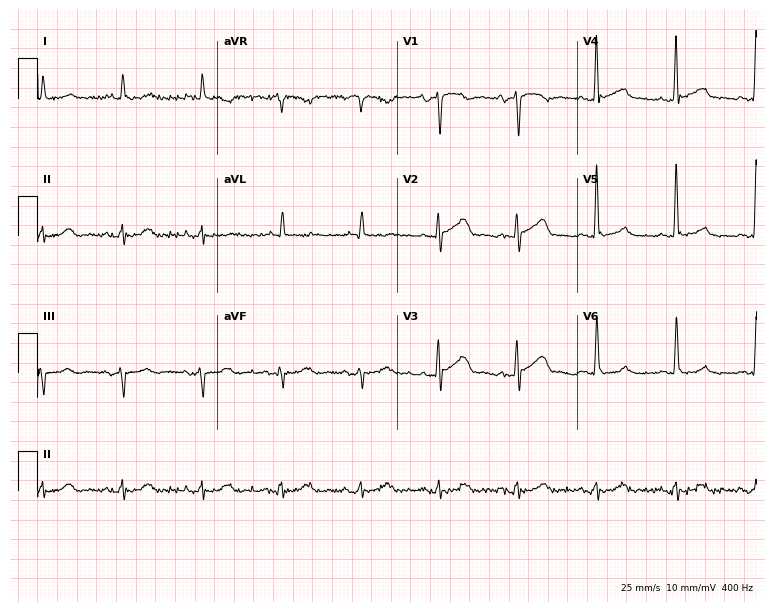
Electrocardiogram (7.3-second recording at 400 Hz), a 78-year-old man. Of the six screened findings (first-degree AV block, right bundle branch block (RBBB), left bundle branch block (LBBB), sinus bradycardia, atrial fibrillation (AF), sinus tachycardia), none is recorded. Only these six findings were labelled.